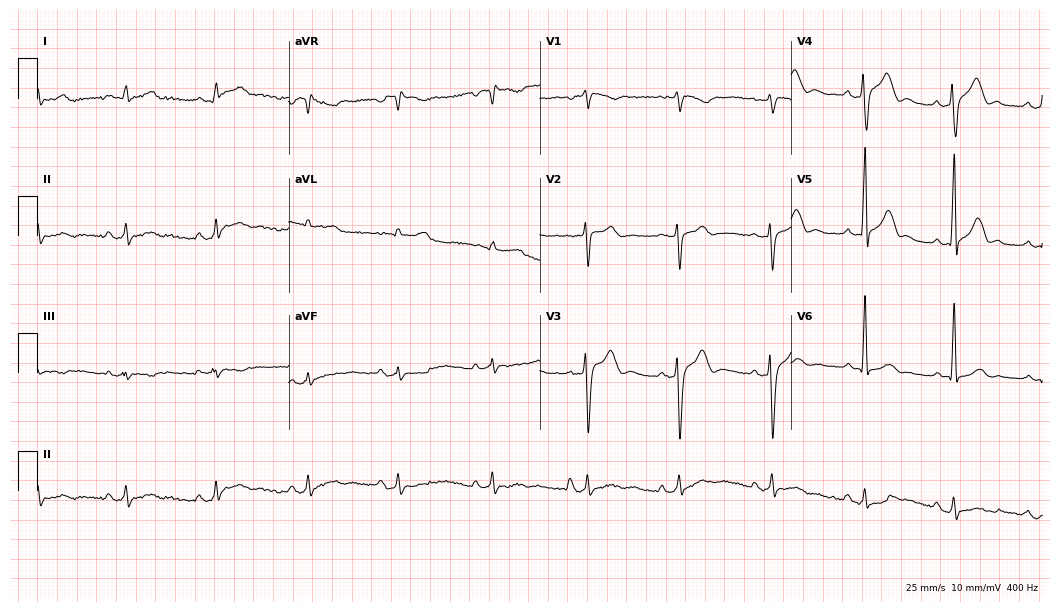
12-lead ECG from a male patient, 39 years old. Screened for six findings — first-degree AV block, right bundle branch block, left bundle branch block, sinus bradycardia, atrial fibrillation, sinus tachycardia — none is recorded.